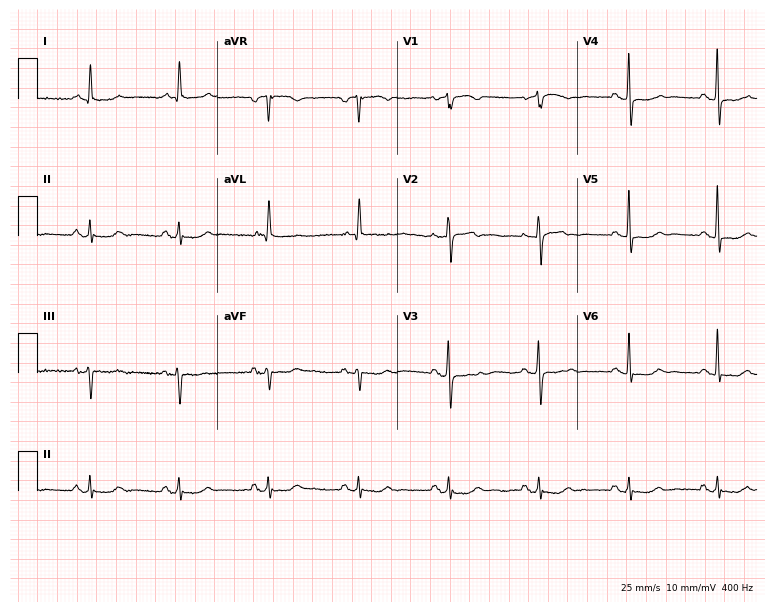
12-lead ECG from a female, 79 years old (7.3-second recording at 400 Hz). No first-degree AV block, right bundle branch block (RBBB), left bundle branch block (LBBB), sinus bradycardia, atrial fibrillation (AF) or sinus tachycardia recorded for this tracing. Only these six findings were labelled.